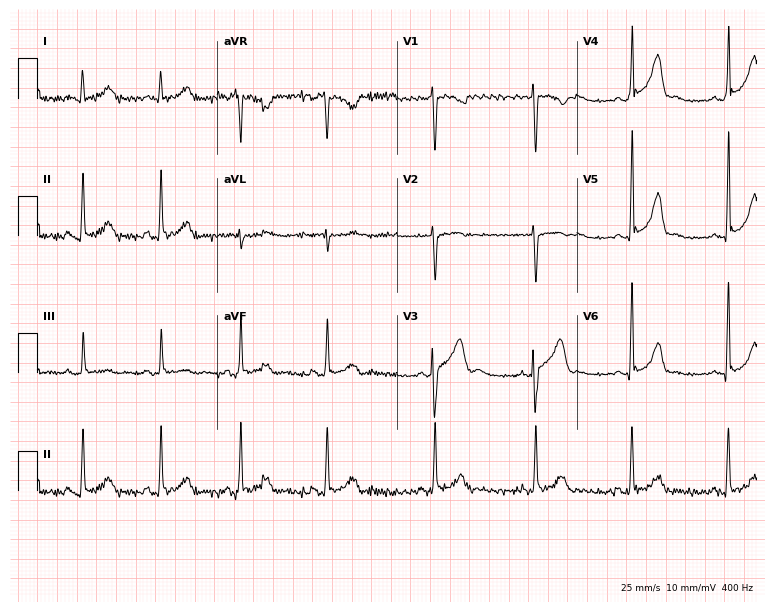
12-lead ECG from a woman, 22 years old (7.3-second recording at 400 Hz). Recorded interpretation: within normal limits.